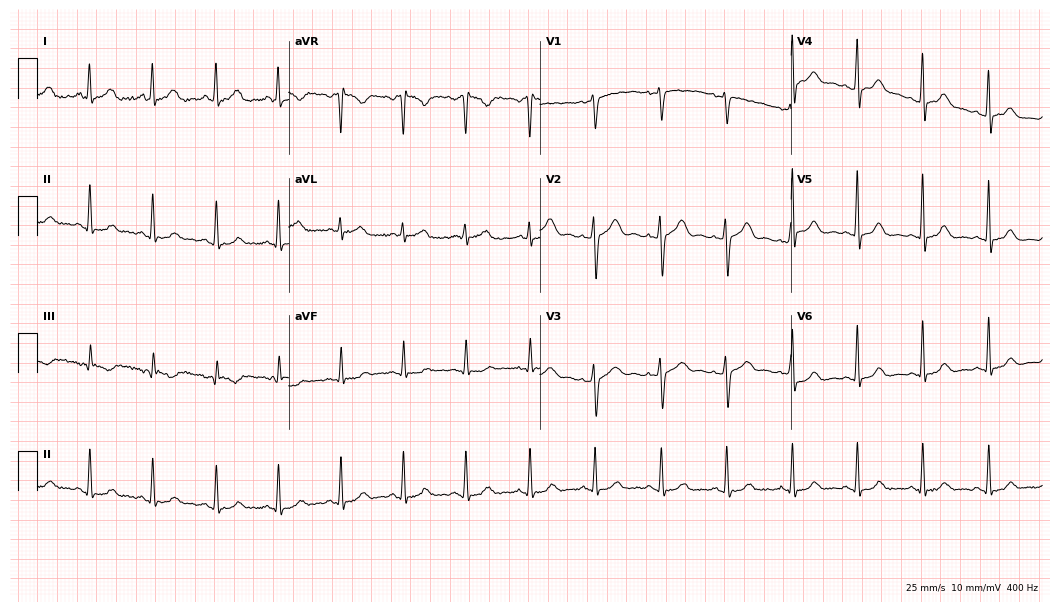
Standard 12-lead ECG recorded from a 43-year-old female. None of these six findings is recorded: first-degree AV block, right bundle branch block, left bundle branch block, sinus bradycardia, atrial fibrillation, sinus tachycardia.